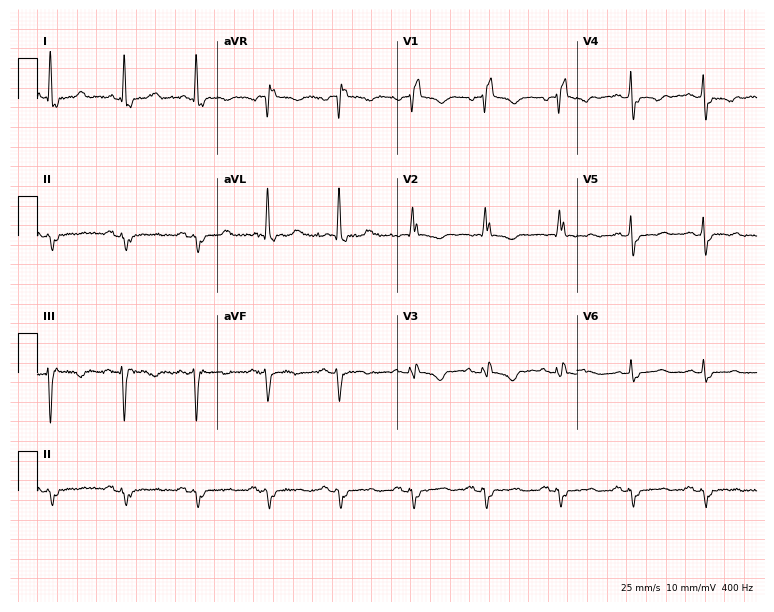
Standard 12-lead ECG recorded from a female, 80 years old. The tracing shows right bundle branch block.